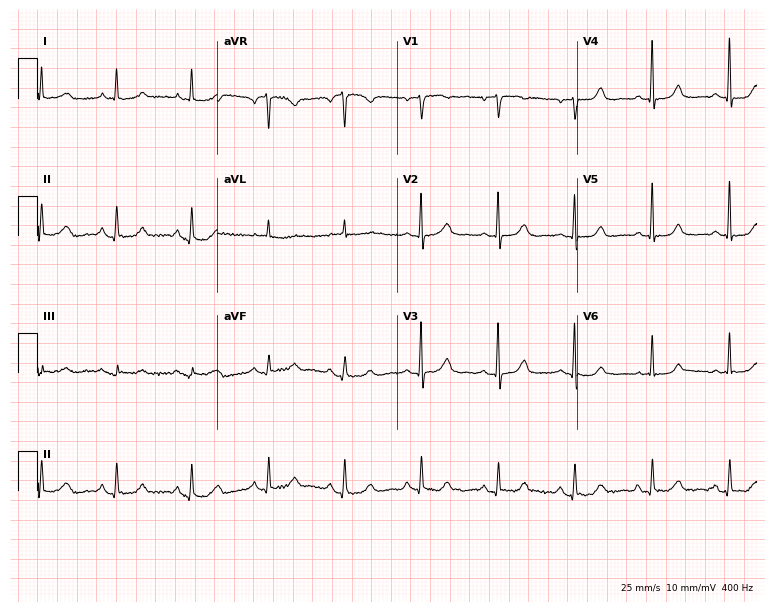
12-lead ECG (7.3-second recording at 400 Hz) from a 61-year-old female patient. Screened for six findings — first-degree AV block, right bundle branch block, left bundle branch block, sinus bradycardia, atrial fibrillation, sinus tachycardia — none is recorded.